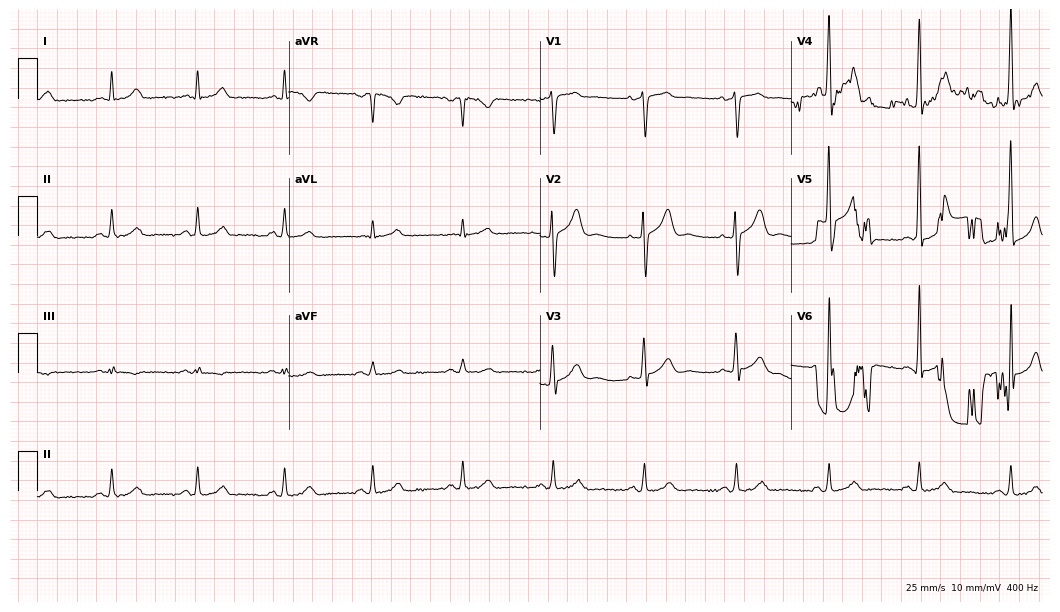
12-lead ECG (10.2-second recording at 400 Hz) from a male, 52 years old. Labelled as a normal ECG.